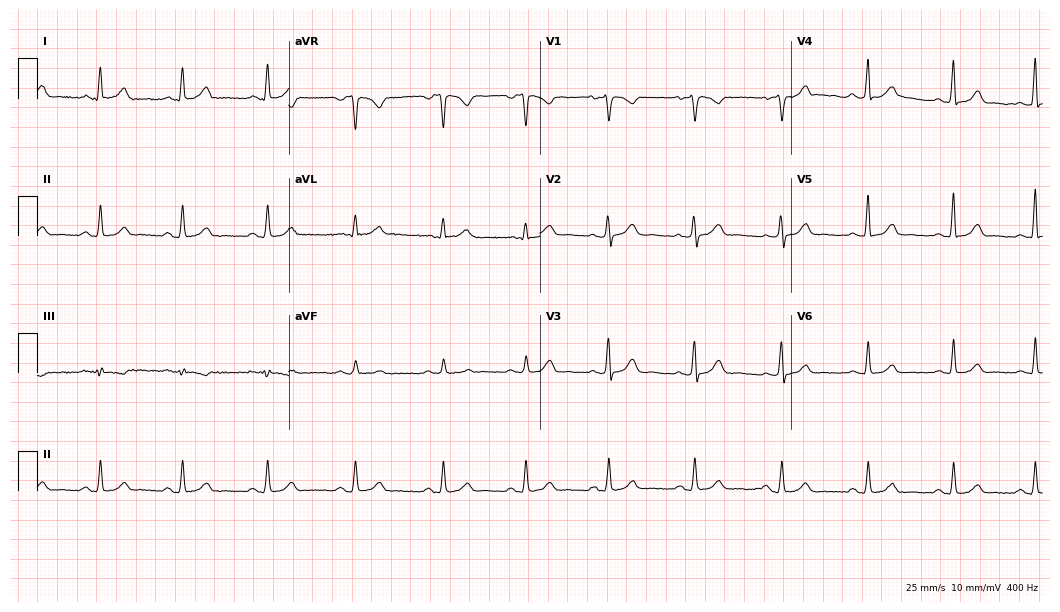
ECG (10.2-second recording at 400 Hz) — a female, 42 years old. Screened for six findings — first-degree AV block, right bundle branch block, left bundle branch block, sinus bradycardia, atrial fibrillation, sinus tachycardia — none is recorded.